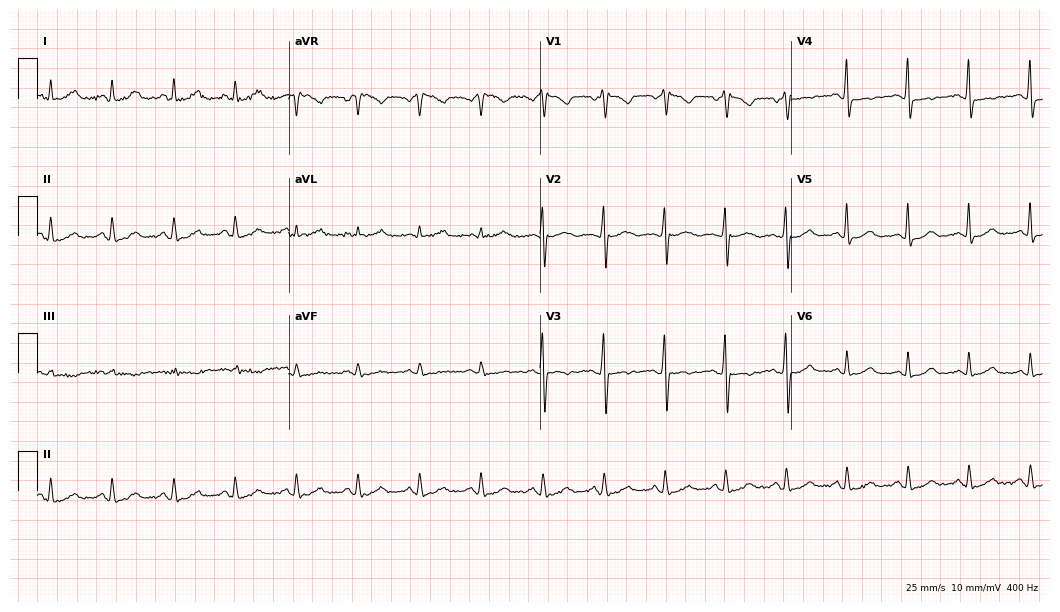
Electrocardiogram, a female patient, 44 years old. Overall reading on record: normal ECG.